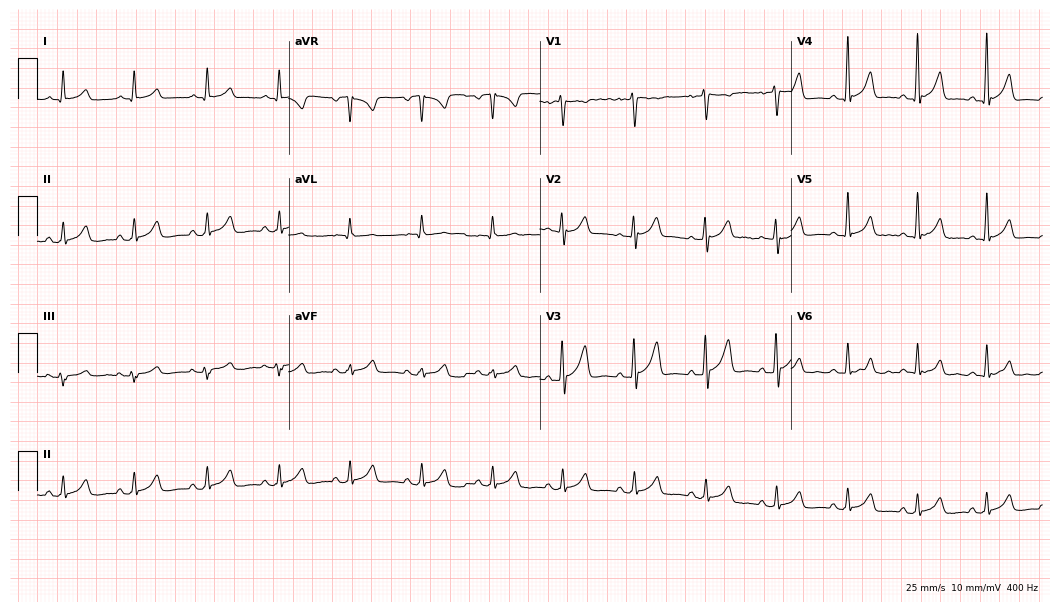
Resting 12-lead electrocardiogram (10.2-second recording at 400 Hz). Patient: a 38-year-old male. Read as a normal ECG.